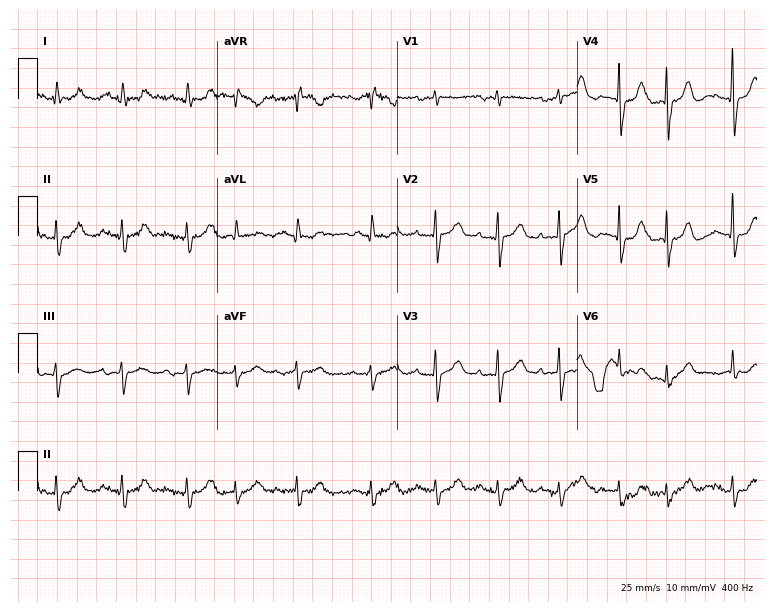
ECG (7.3-second recording at 400 Hz) — an 84-year-old woman. Screened for six findings — first-degree AV block, right bundle branch block, left bundle branch block, sinus bradycardia, atrial fibrillation, sinus tachycardia — none is recorded.